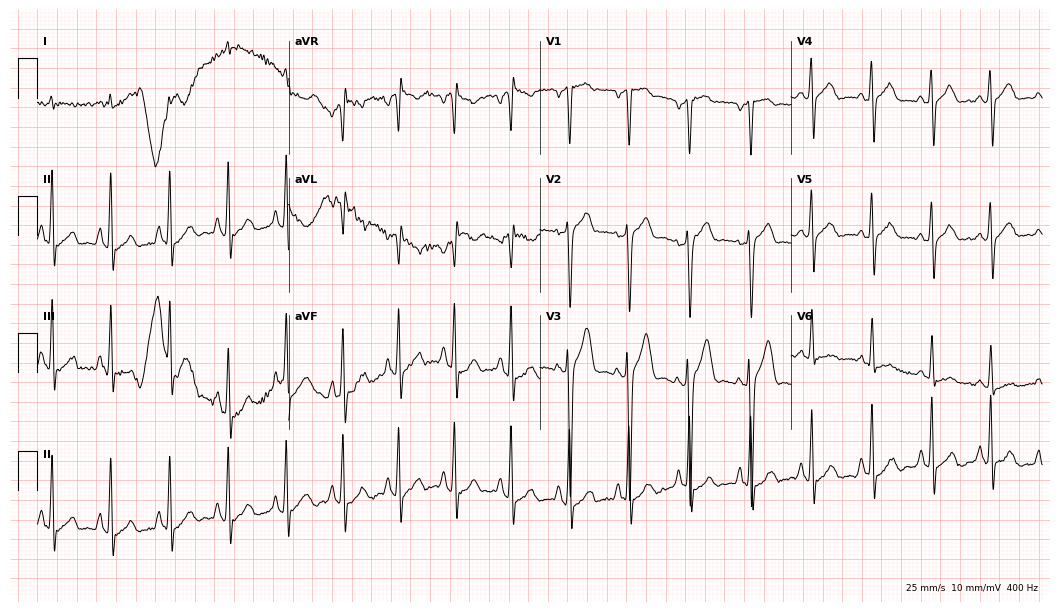
Electrocardiogram (10.2-second recording at 400 Hz), a 36-year-old man. Overall reading on record: normal ECG.